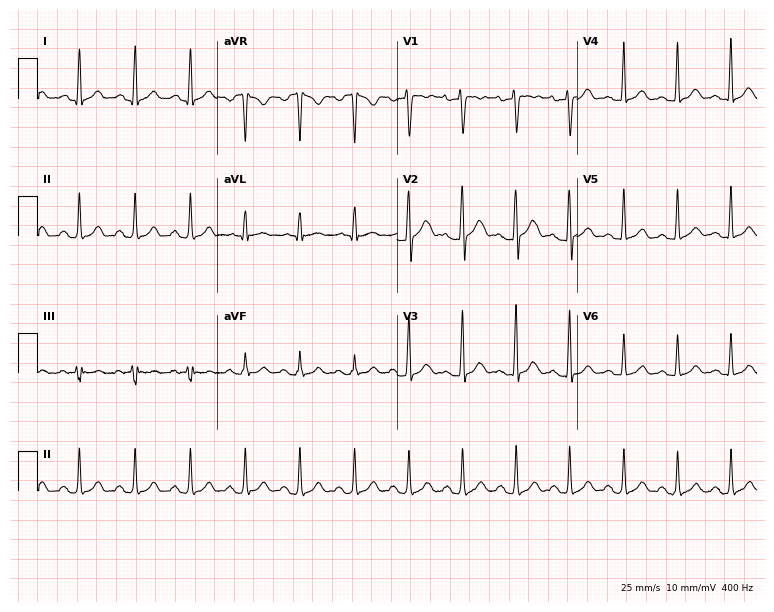
Electrocardiogram, a female patient, 19 years old. Interpretation includes sinus tachycardia (a sinus rate of 100 beats per minute or more).